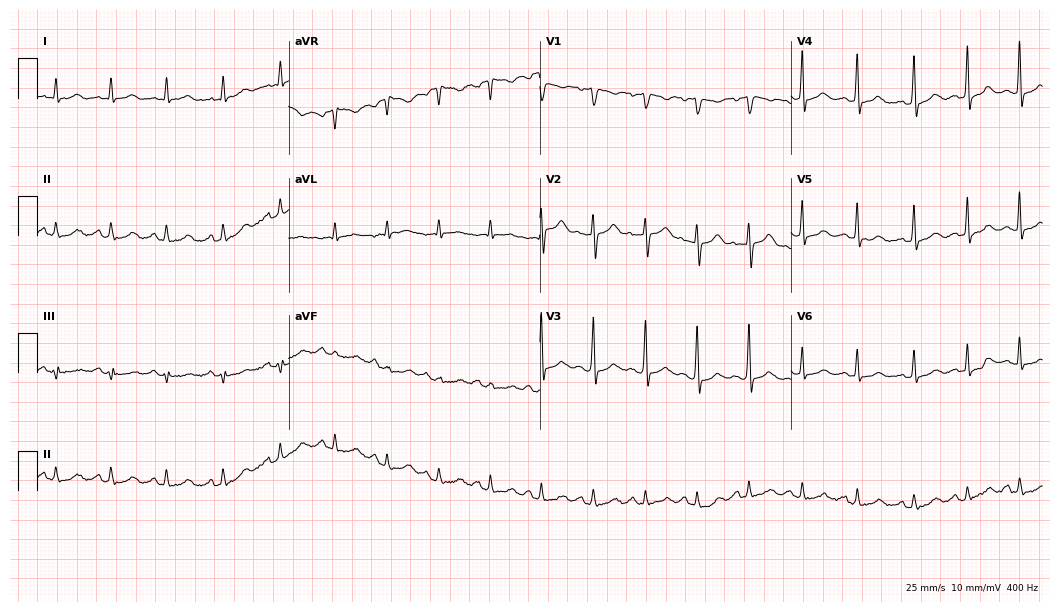
12-lead ECG from a 28-year-old woman. No first-degree AV block, right bundle branch block (RBBB), left bundle branch block (LBBB), sinus bradycardia, atrial fibrillation (AF) or sinus tachycardia recorded for this tracing. Only these six findings were labelled.